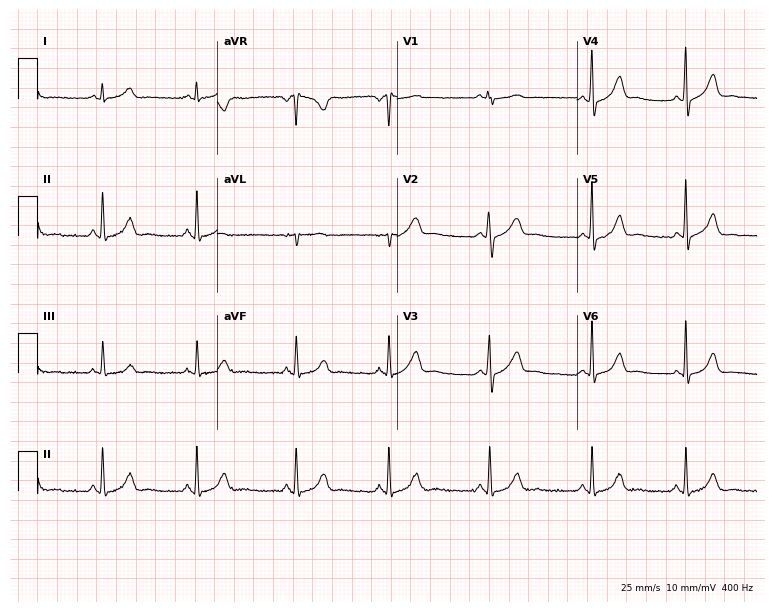
Electrocardiogram (7.3-second recording at 400 Hz), a 33-year-old female. Overall reading on record: normal ECG.